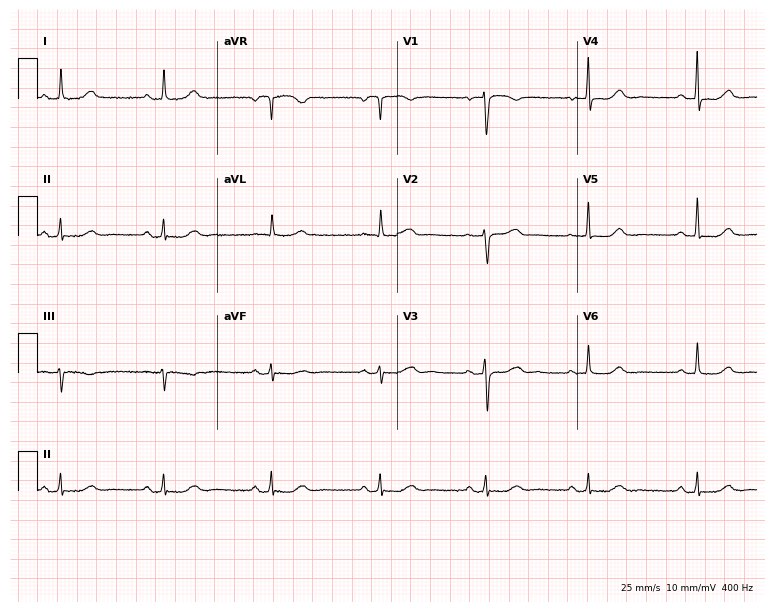
Electrocardiogram, a woman, 72 years old. Overall reading on record: normal ECG.